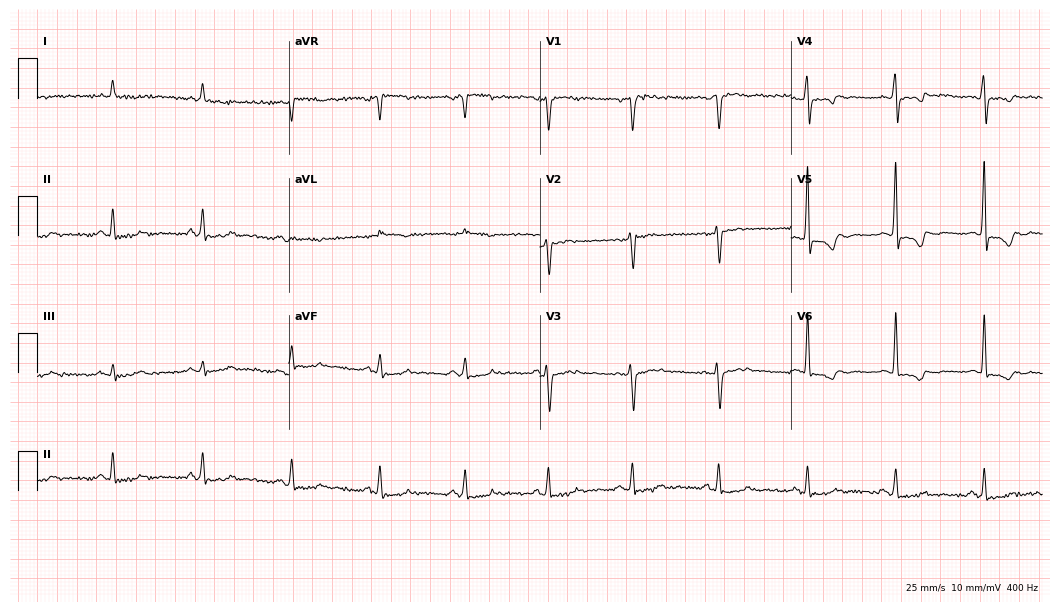
Electrocardiogram (10.2-second recording at 400 Hz), a 60-year-old male. Of the six screened findings (first-degree AV block, right bundle branch block, left bundle branch block, sinus bradycardia, atrial fibrillation, sinus tachycardia), none is recorded. Findings outside these six are not listed.